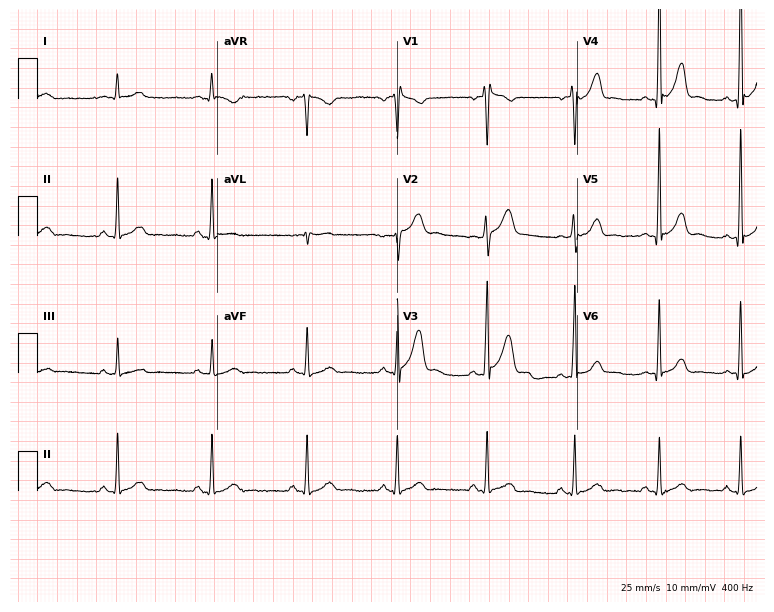
12-lead ECG from a 53-year-old male (7.3-second recording at 400 Hz). No first-degree AV block, right bundle branch block, left bundle branch block, sinus bradycardia, atrial fibrillation or sinus tachycardia recorded for this tracing. Other findings, if any, are not listed.